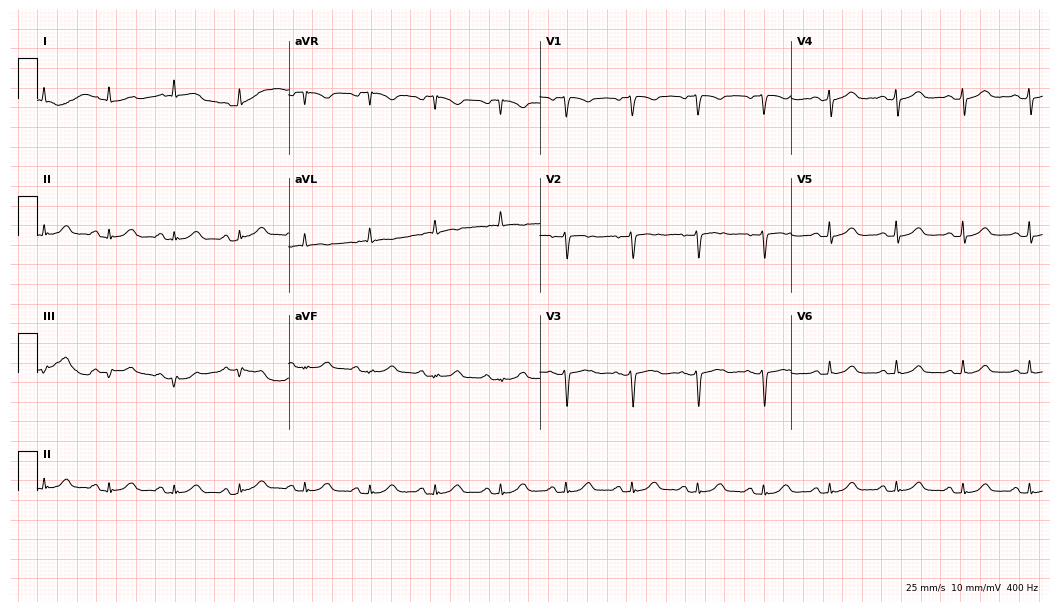
Resting 12-lead electrocardiogram. Patient: a female, 62 years old. Read as a normal ECG.